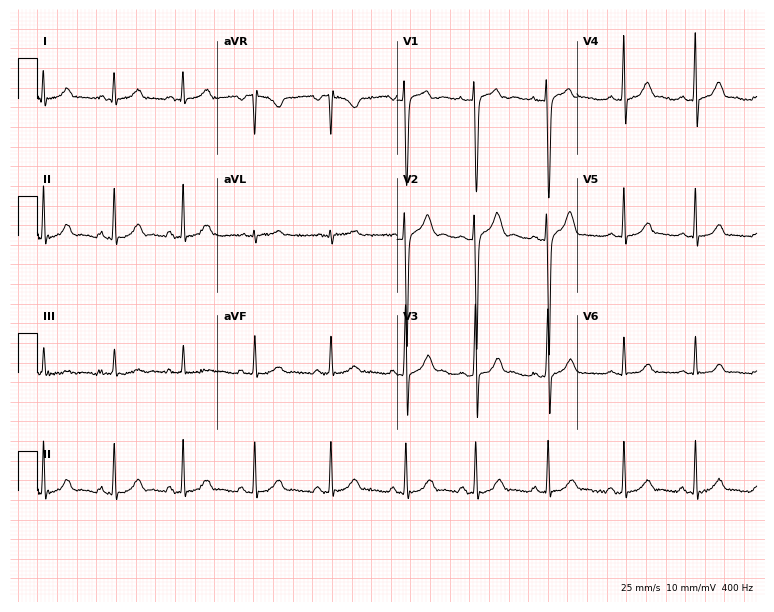
12-lead ECG from a female patient, 19 years old. Recorded interpretation: within normal limits.